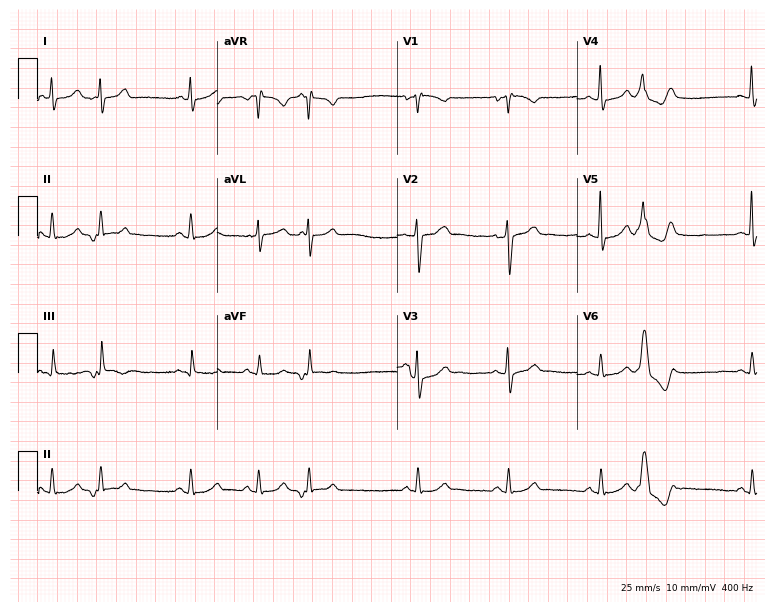
Standard 12-lead ECG recorded from a 53-year-old male. None of these six findings is recorded: first-degree AV block, right bundle branch block (RBBB), left bundle branch block (LBBB), sinus bradycardia, atrial fibrillation (AF), sinus tachycardia. Other findings, if any, are not listed.